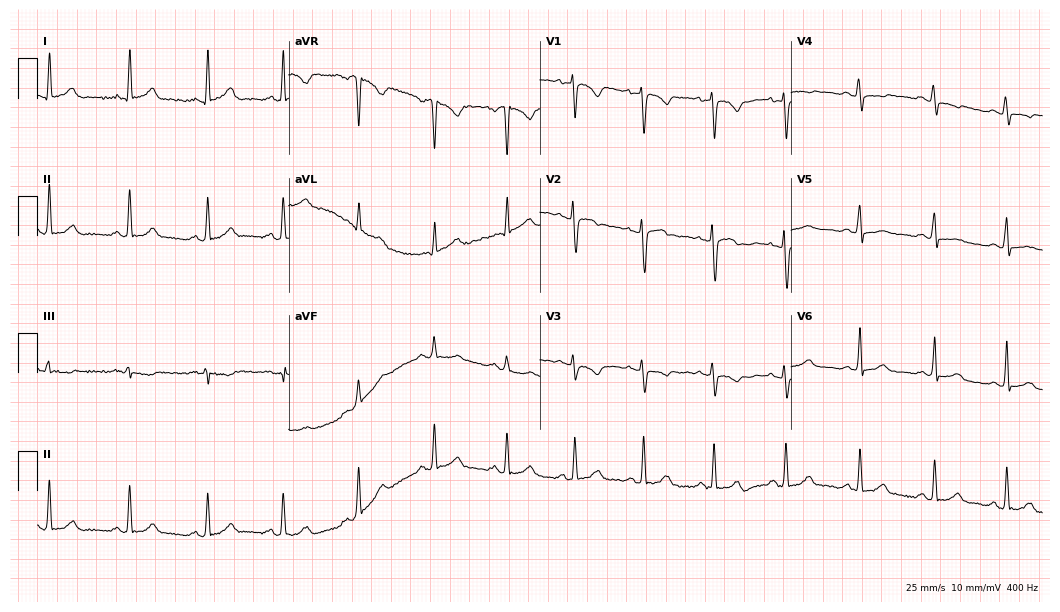
Electrocardiogram, a 31-year-old female. Overall reading on record: normal ECG.